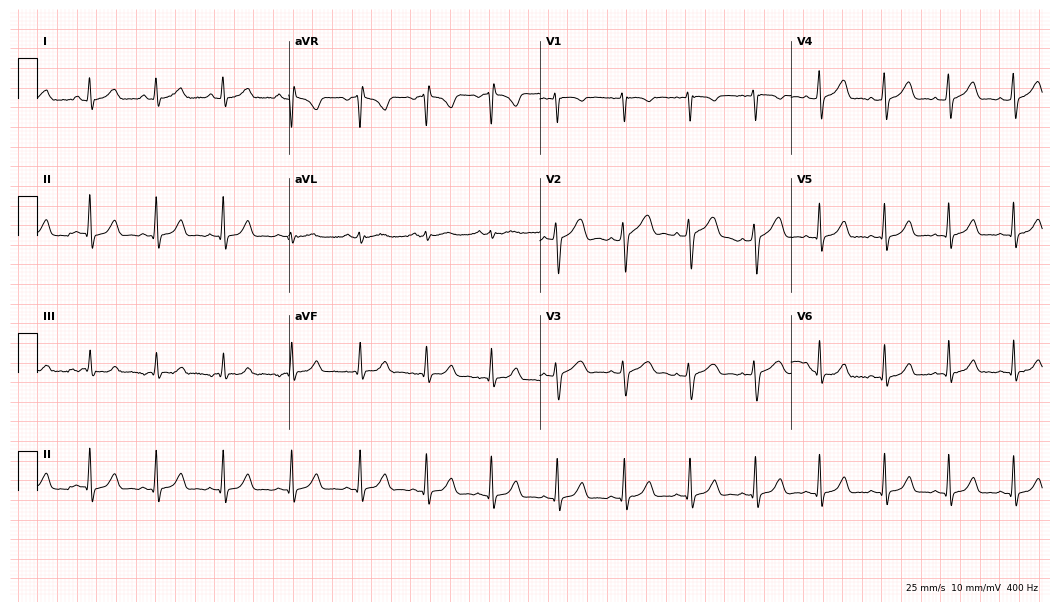
12-lead ECG from a 20-year-old woman. Labelled as a normal ECG.